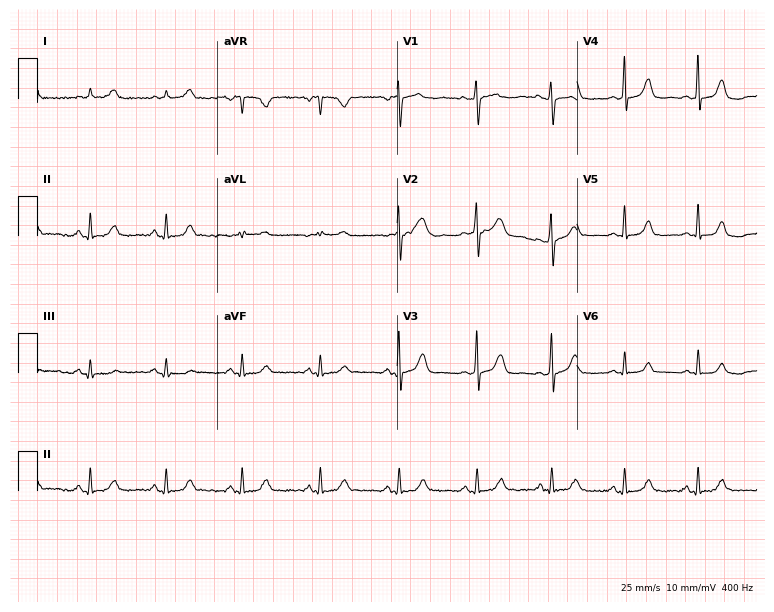
Electrocardiogram (7.3-second recording at 400 Hz), a woman, 43 years old. Overall reading on record: normal ECG.